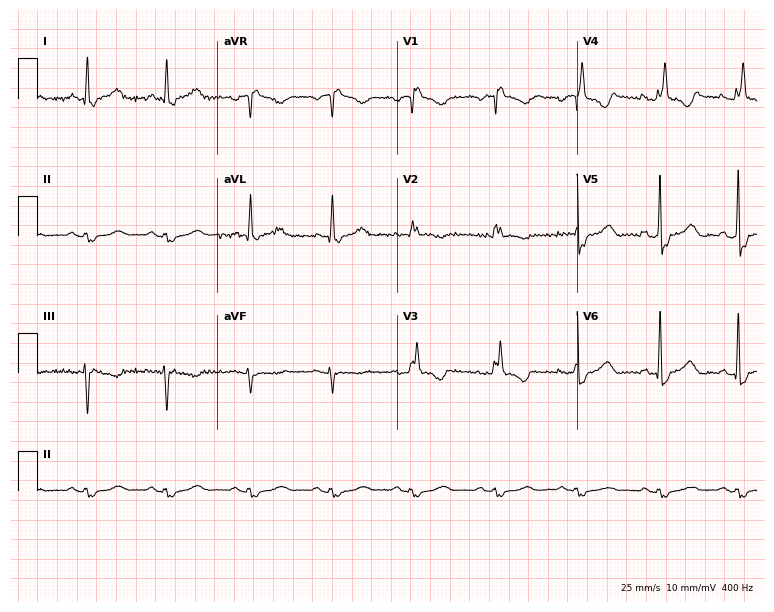
ECG (7.3-second recording at 400 Hz) — a female, 80 years old. Findings include right bundle branch block (RBBB).